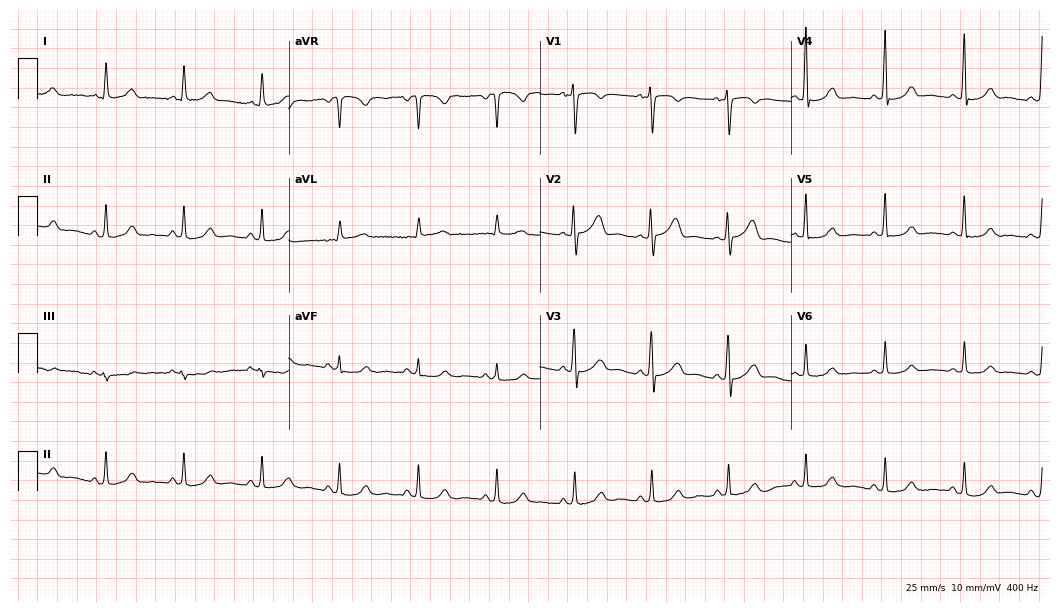
12-lead ECG from a female patient, 53 years old. Labelled as a normal ECG.